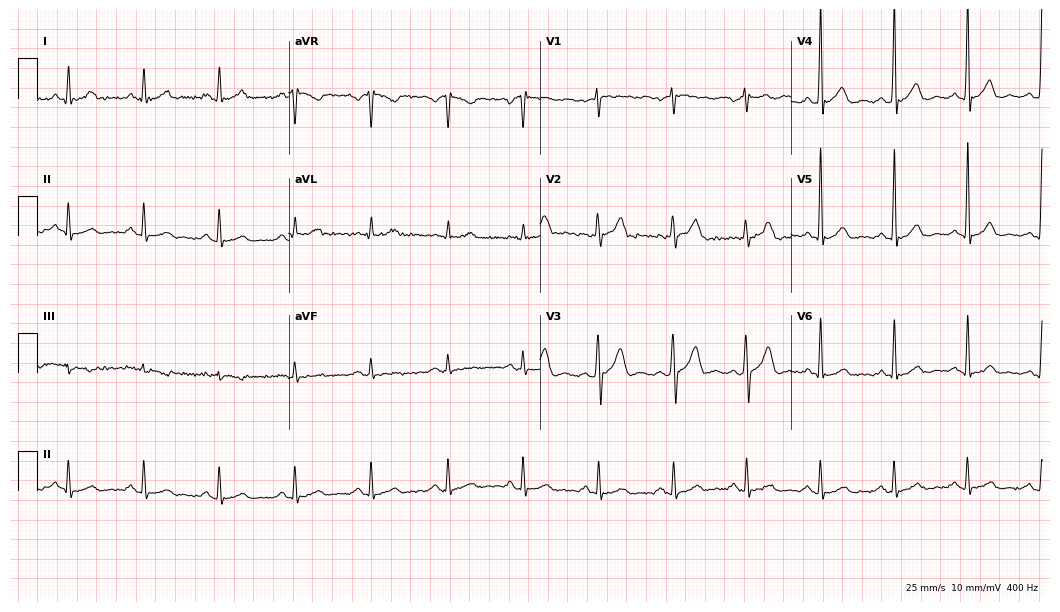
Resting 12-lead electrocardiogram. Patient: a man, 36 years old. Read as a normal ECG.